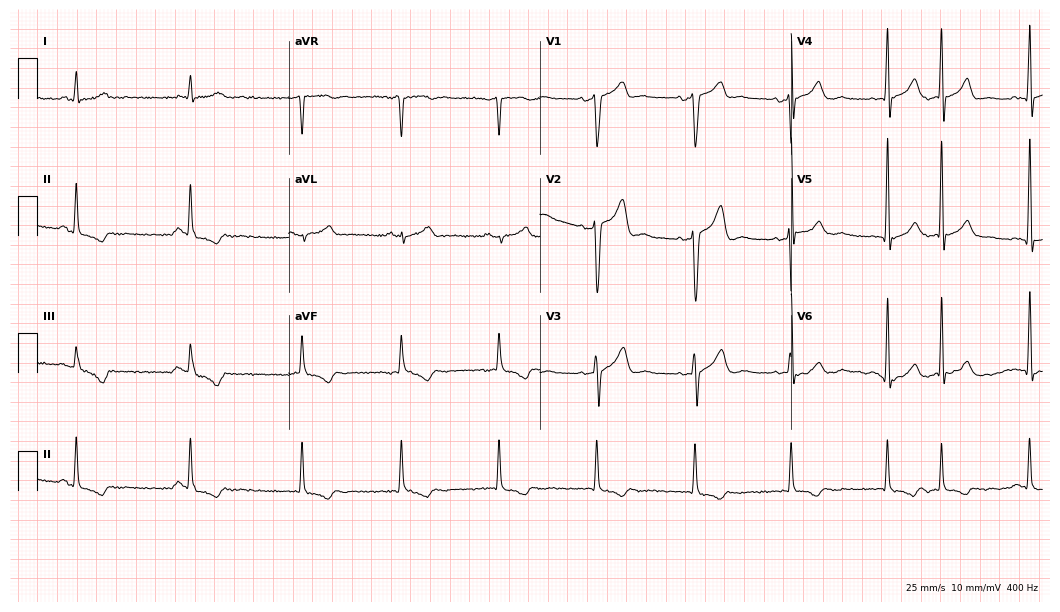
12-lead ECG (10.2-second recording at 400 Hz) from a 56-year-old male patient. Screened for six findings — first-degree AV block, right bundle branch block (RBBB), left bundle branch block (LBBB), sinus bradycardia, atrial fibrillation (AF), sinus tachycardia — none is recorded.